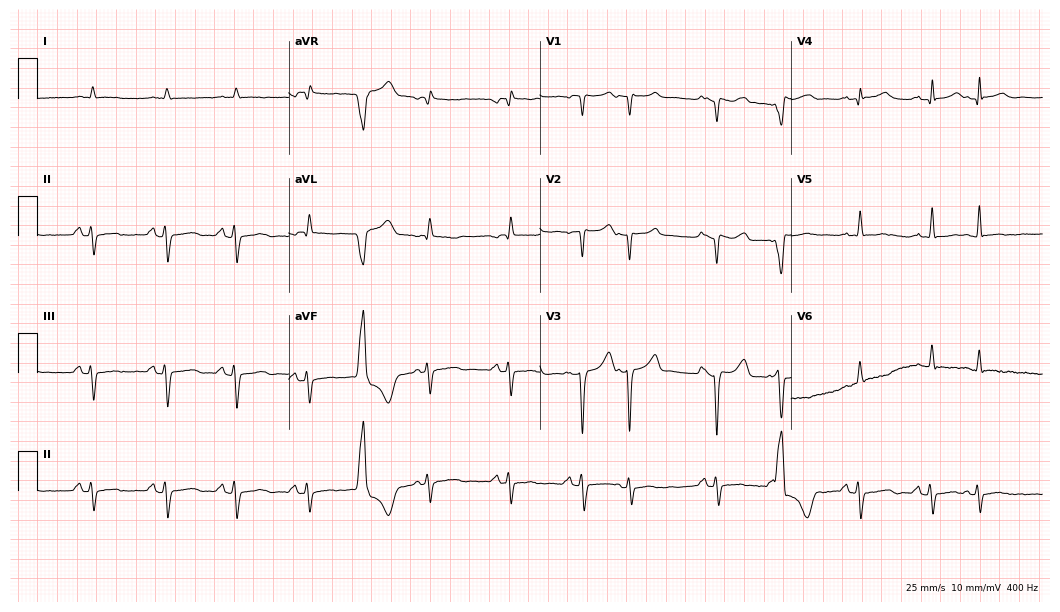
ECG (10.2-second recording at 400 Hz) — an 82-year-old man. Labelled as a normal ECG.